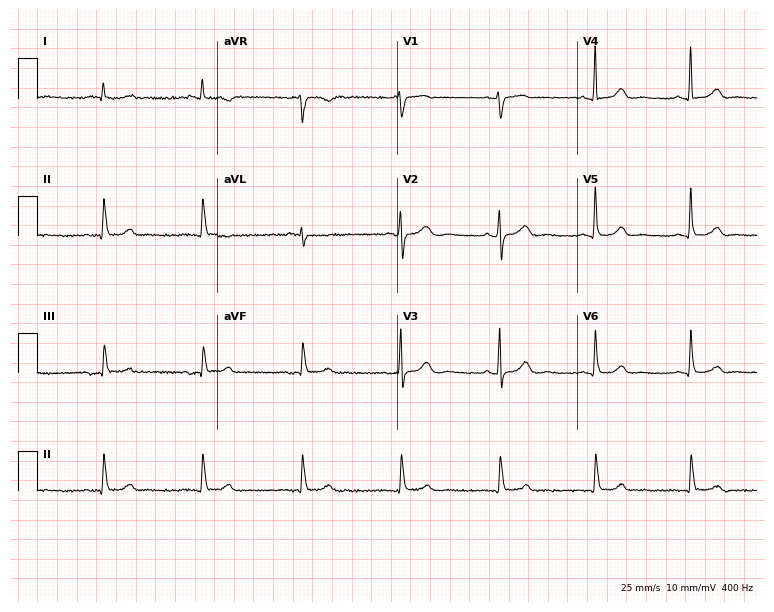
Resting 12-lead electrocardiogram. Patient: a 78-year-old female. Read as a normal ECG.